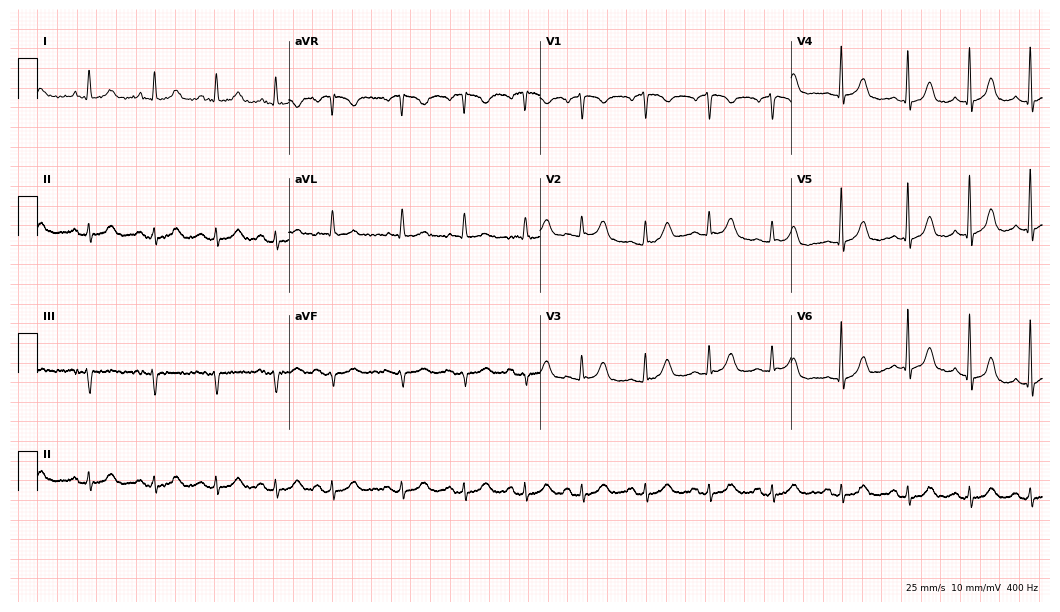
12-lead ECG (10.2-second recording at 400 Hz) from a 78-year-old female. Labelled as a normal ECG.